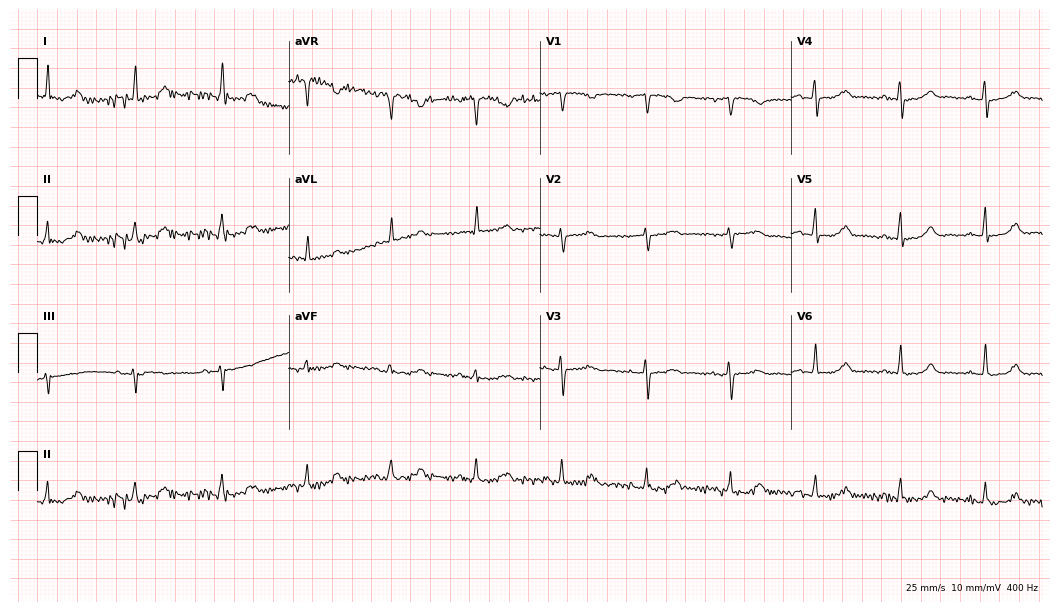
ECG (10.2-second recording at 400 Hz) — a woman, 84 years old. Labelled as a normal ECG.